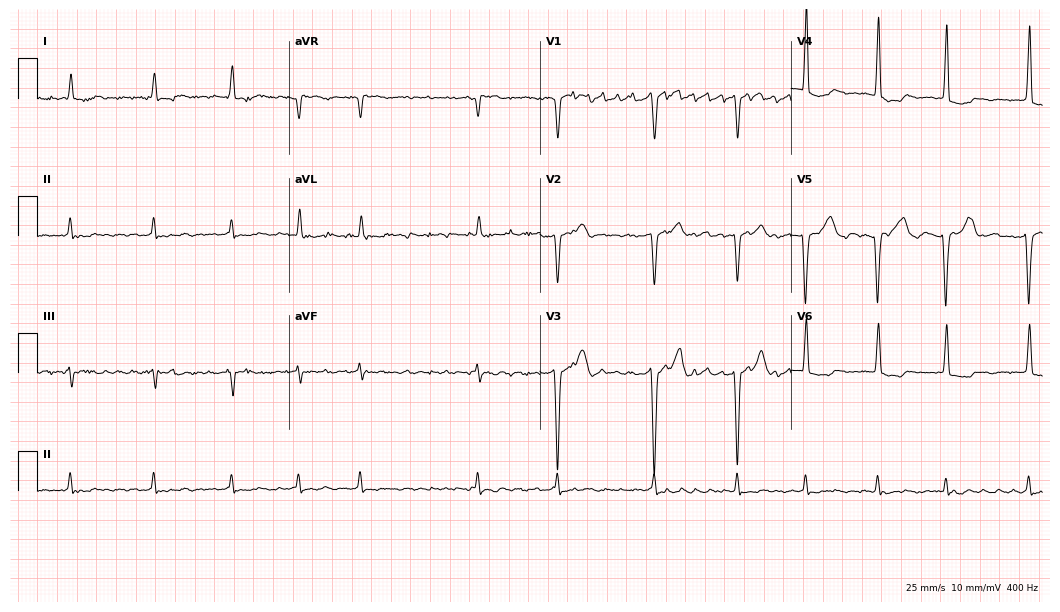
ECG — a male, 83 years old. Findings include atrial fibrillation.